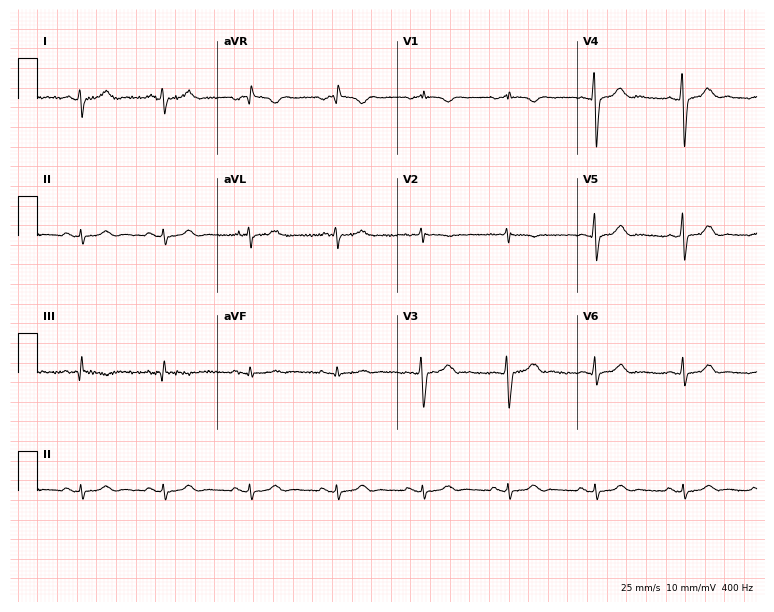
Resting 12-lead electrocardiogram (7.3-second recording at 400 Hz). Patient: a female, 18 years old. None of these six findings is recorded: first-degree AV block, right bundle branch block, left bundle branch block, sinus bradycardia, atrial fibrillation, sinus tachycardia.